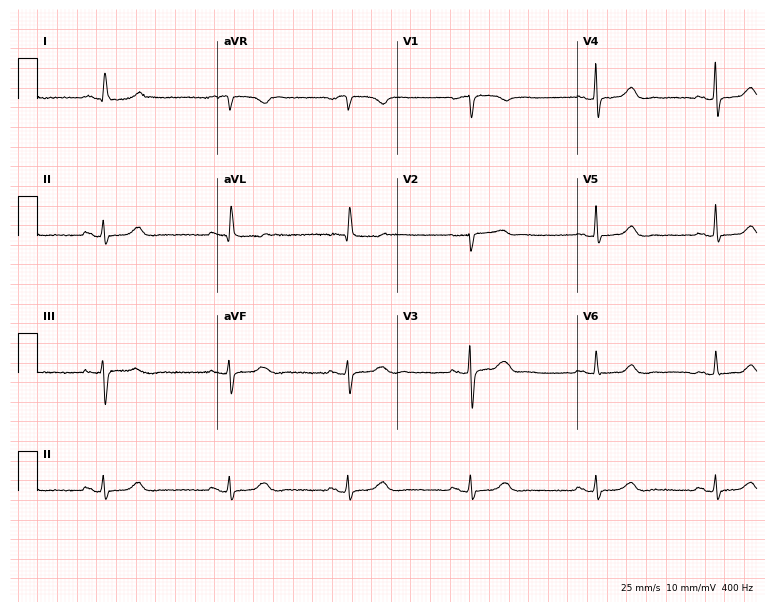
12-lead ECG from an 84-year-old female (7.3-second recording at 400 Hz). Shows sinus bradycardia (a sinus rate of 50 beats per minute or less).